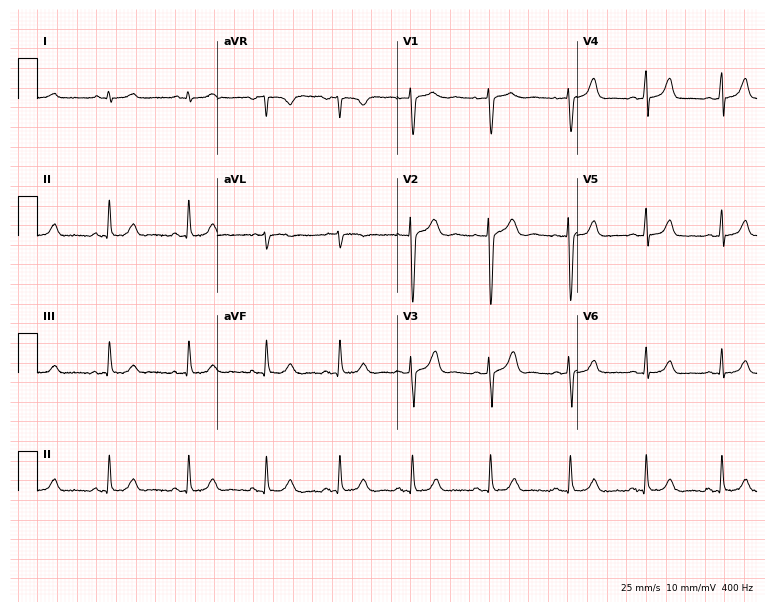
12-lead ECG from a 27-year-old female patient. Labelled as a normal ECG.